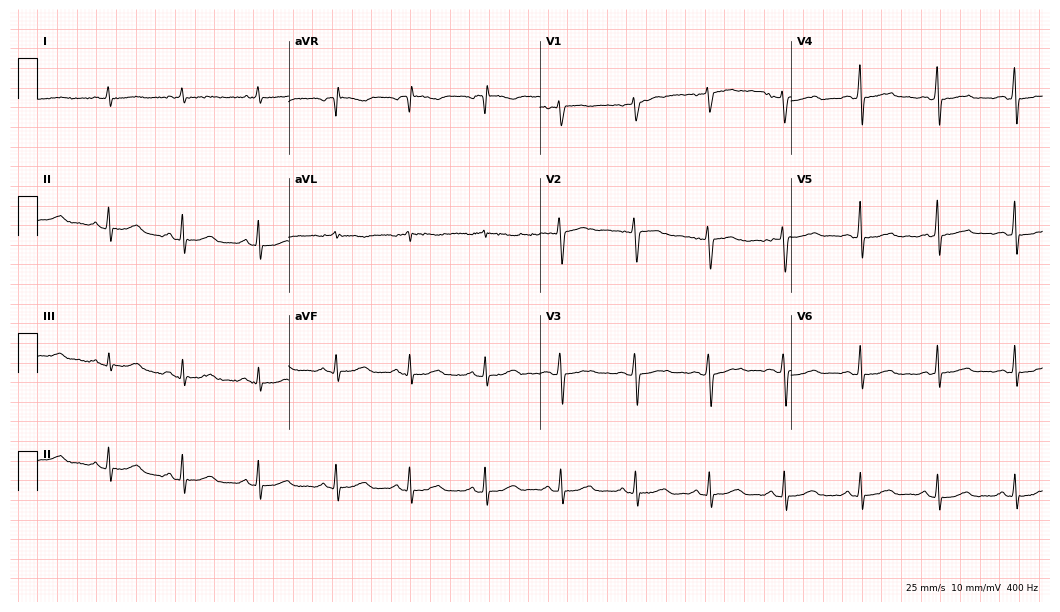
12-lead ECG (10.2-second recording at 400 Hz) from a female, 46 years old. Labelled as a normal ECG.